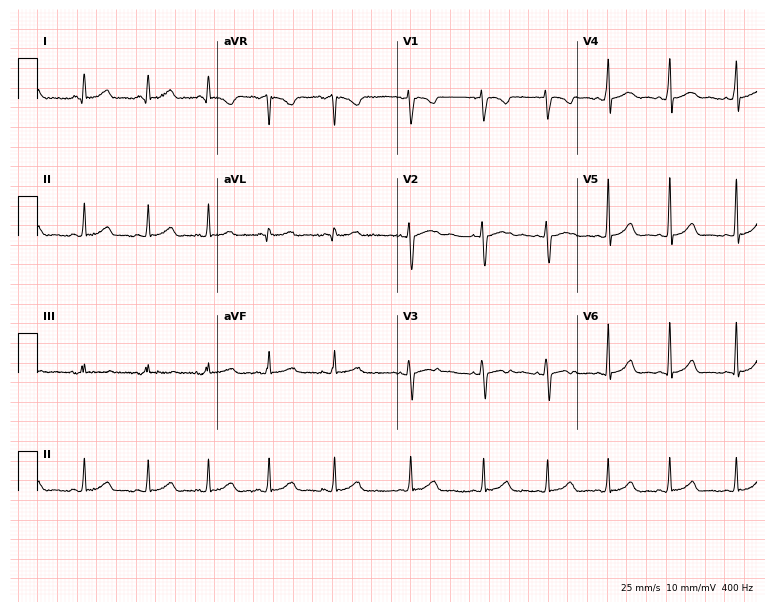
Electrocardiogram (7.3-second recording at 400 Hz), a woman, 22 years old. Of the six screened findings (first-degree AV block, right bundle branch block (RBBB), left bundle branch block (LBBB), sinus bradycardia, atrial fibrillation (AF), sinus tachycardia), none is recorded.